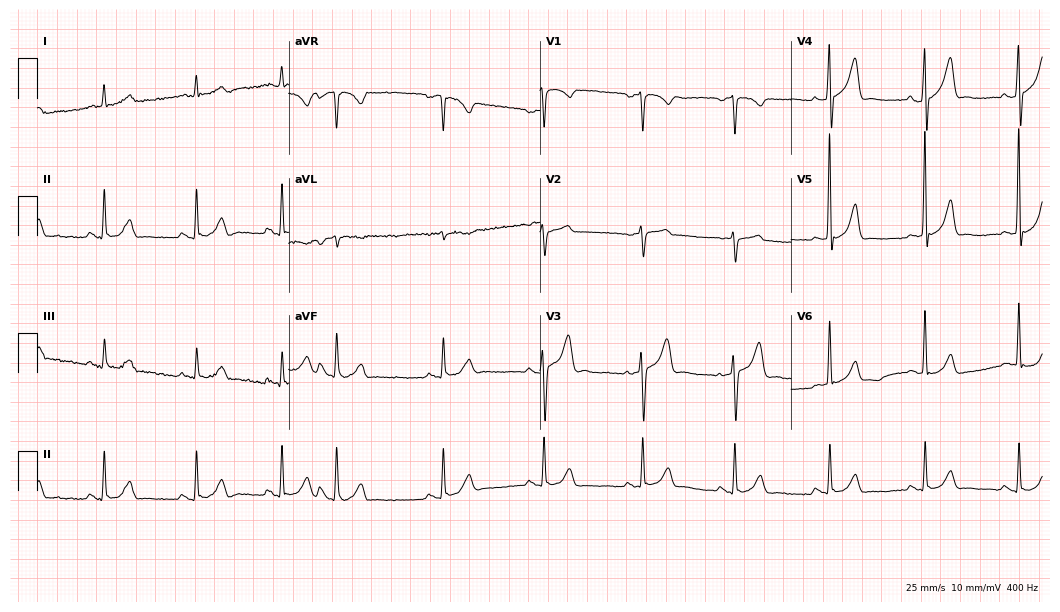
Electrocardiogram, a male patient, 67 years old. Of the six screened findings (first-degree AV block, right bundle branch block, left bundle branch block, sinus bradycardia, atrial fibrillation, sinus tachycardia), none is recorded.